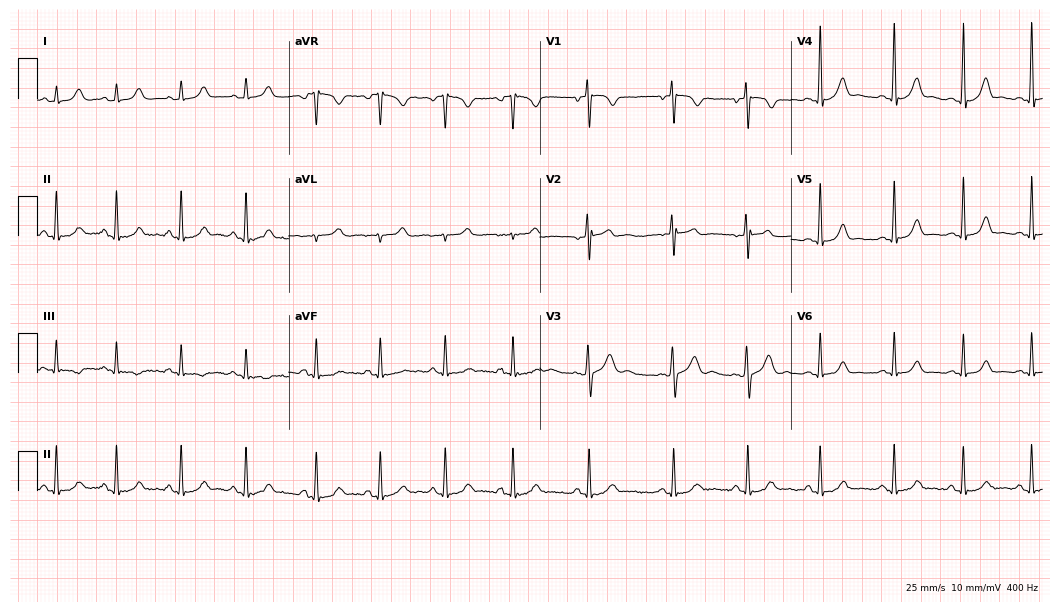
12-lead ECG from a 17-year-old woman (10.2-second recording at 400 Hz). Recorded interpretation: within normal limits.